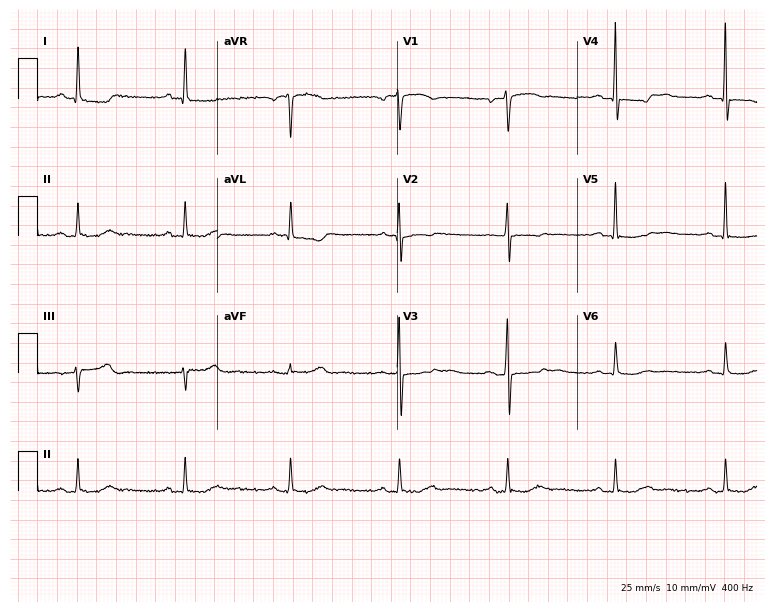
ECG (7.3-second recording at 400 Hz) — a 73-year-old man. Screened for six findings — first-degree AV block, right bundle branch block, left bundle branch block, sinus bradycardia, atrial fibrillation, sinus tachycardia — none is recorded.